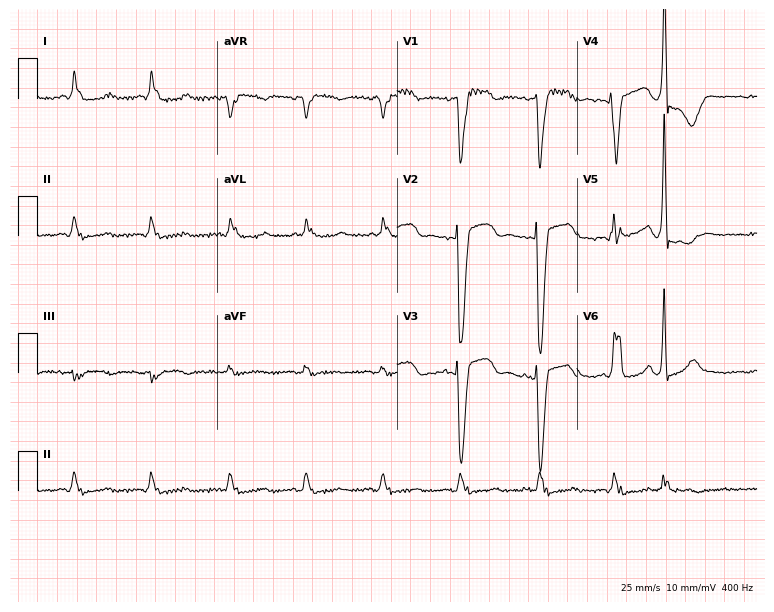
12-lead ECG (7.3-second recording at 400 Hz) from a female patient, 84 years old. Findings include left bundle branch block.